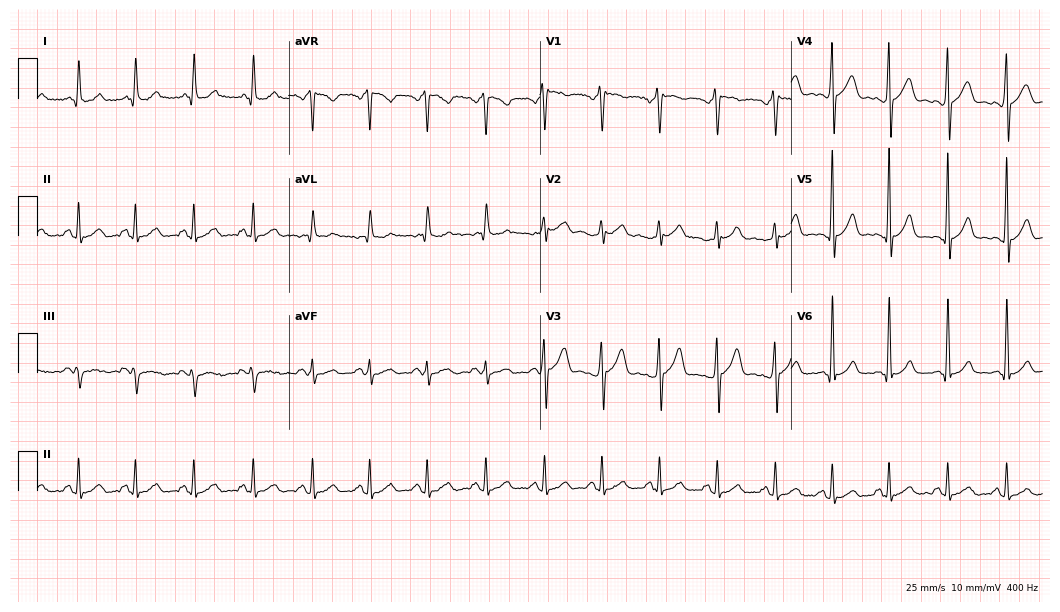
12-lead ECG from a 47-year-old male. Shows sinus tachycardia (a sinus rate of 100 beats per minute or more).